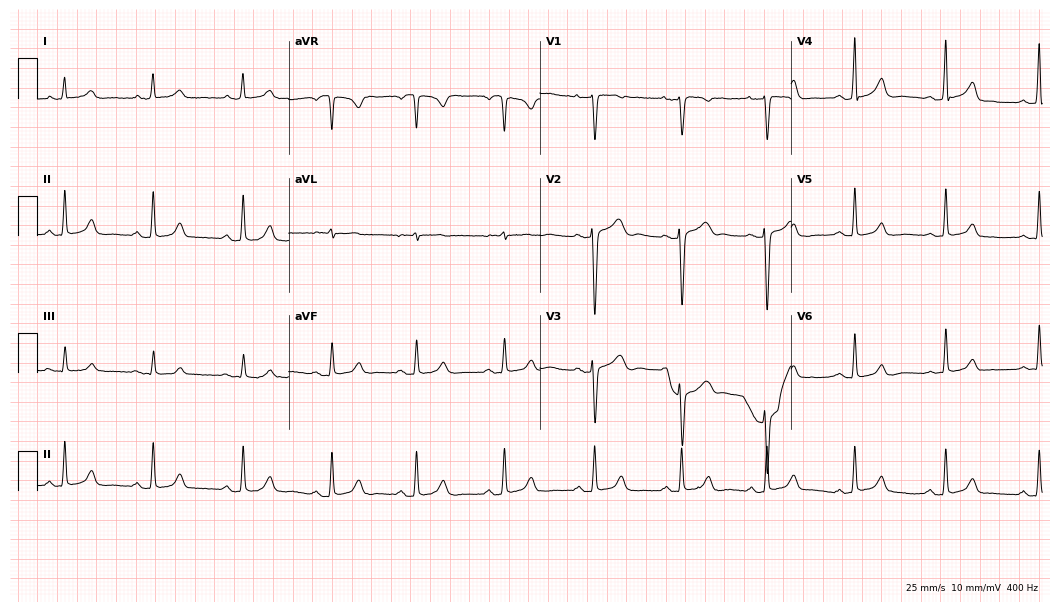
12-lead ECG from a female patient, 32 years old. Labelled as a normal ECG.